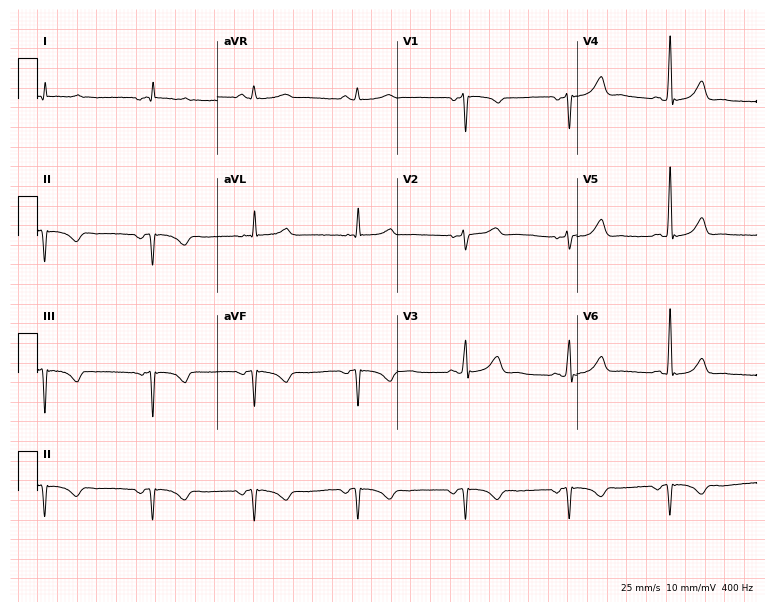
Standard 12-lead ECG recorded from a female patient, 46 years old (7.3-second recording at 400 Hz). None of these six findings is recorded: first-degree AV block, right bundle branch block, left bundle branch block, sinus bradycardia, atrial fibrillation, sinus tachycardia.